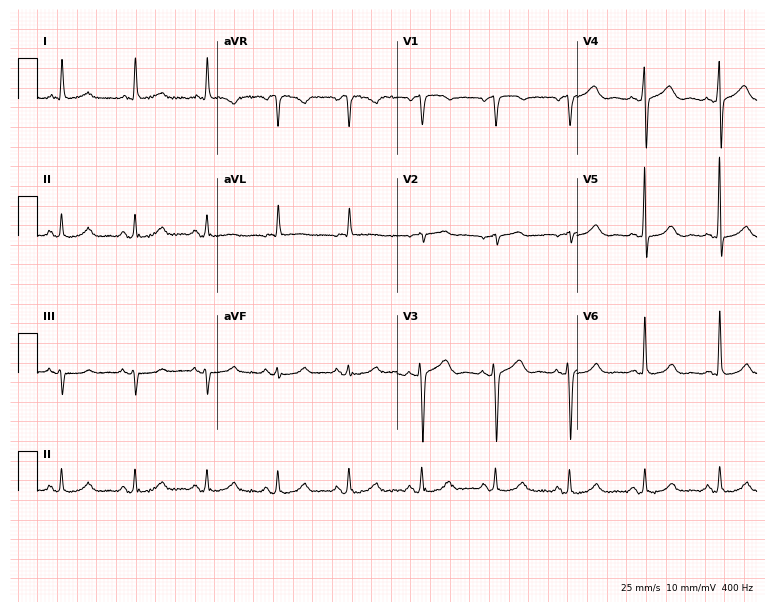
ECG (7.3-second recording at 400 Hz) — a 55-year-old male patient. Screened for six findings — first-degree AV block, right bundle branch block (RBBB), left bundle branch block (LBBB), sinus bradycardia, atrial fibrillation (AF), sinus tachycardia — none is recorded.